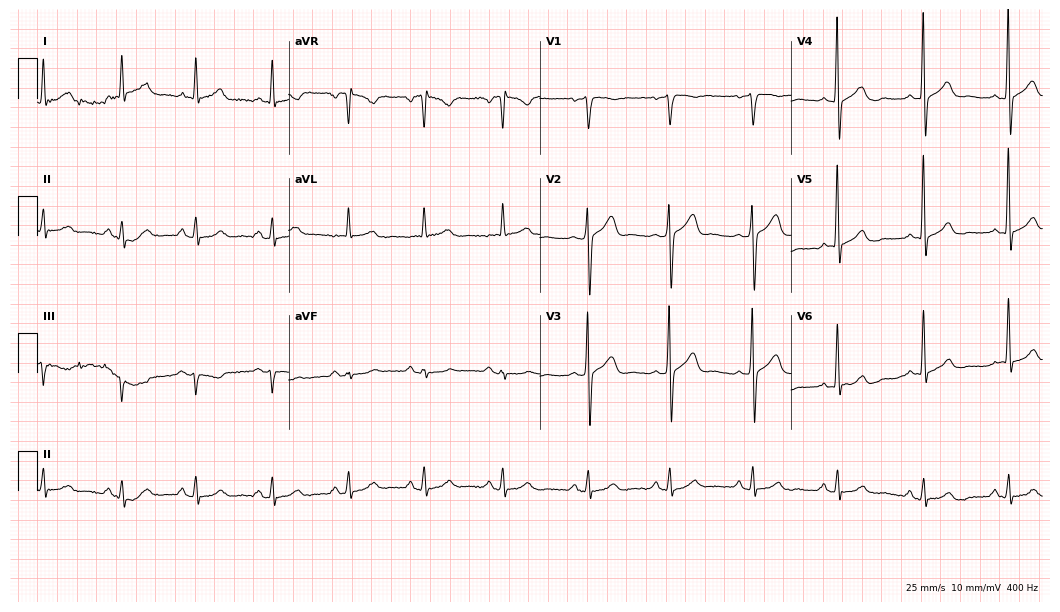
Electrocardiogram (10.2-second recording at 400 Hz), a 65-year-old man. Overall reading on record: normal ECG.